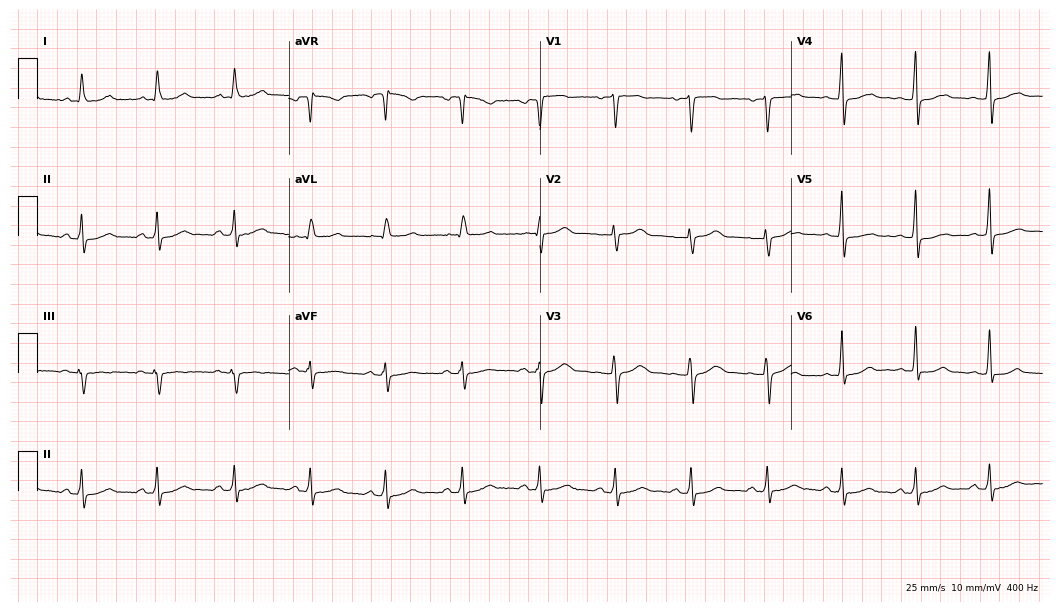
12-lead ECG from a female, 44 years old. Recorded interpretation: within normal limits.